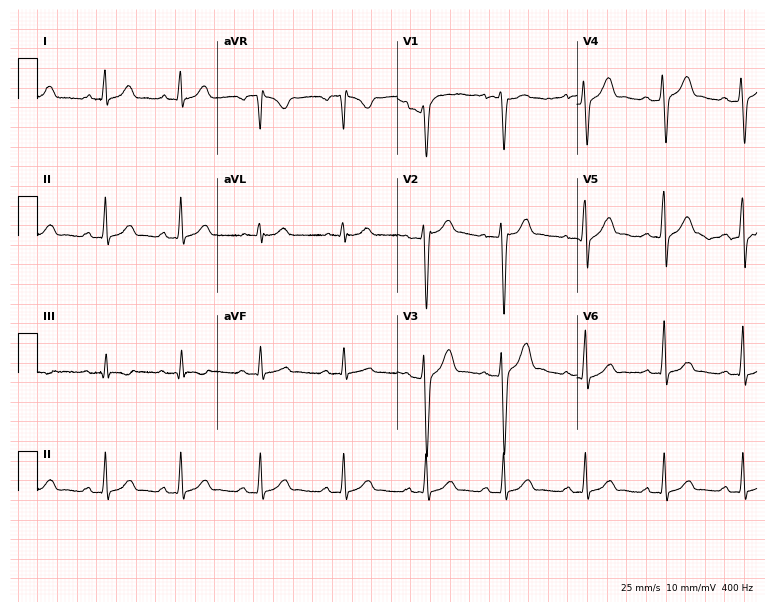
Resting 12-lead electrocardiogram. Patient: a 19-year-old male. None of these six findings is recorded: first-degree AV block, right bundle branch block, left bundle branch block, sinus bradycardia, atrial fibrillation, sinus tachycardia. Only these six findings were labelled.